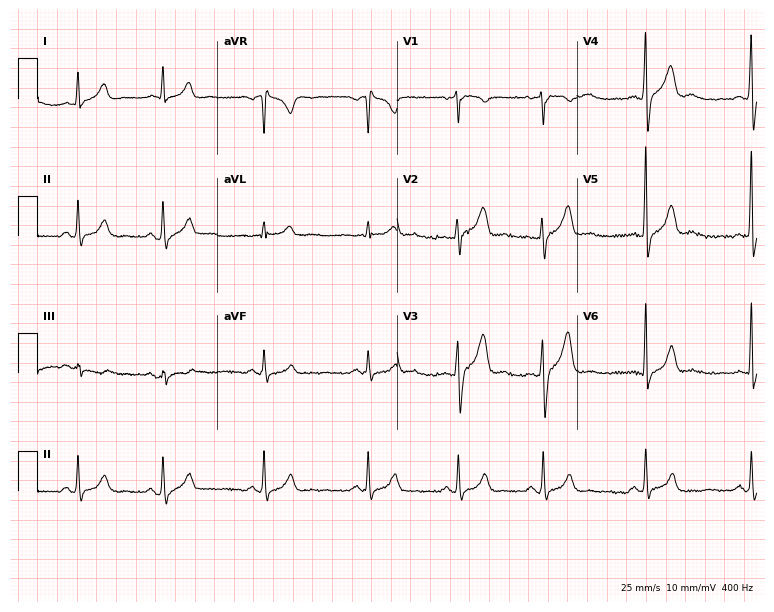
Electrocardiogram (7.3-second recording at 400 Hz), a 22-year-old male patient. Of the six screened findings (first-degree AV block, right bundle branch block (RBBB), left bundle branch block (LBBB), sinus bradycardia, atrial fibrillation (AF), sinus tachycardia), none is recorded. Only these six findings were labelled.